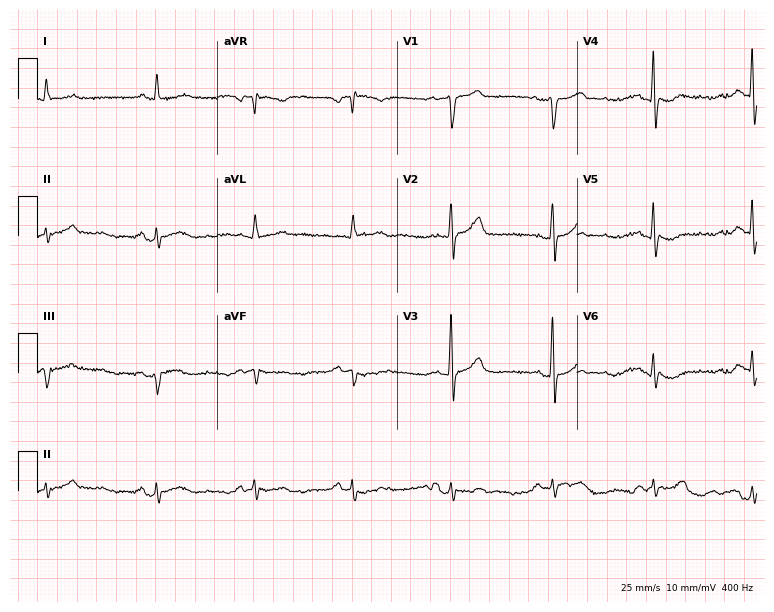
ECG (7.3-second recording at 400 Hz) — a male patient, 74 years old. Screened for six findings — first-degree AV block, right bundle branch block, left bundle branch block, sinus bradycardia, atrial fibrillation, sinus tachycardia — none is recorded. Findings outside these six are not listed.